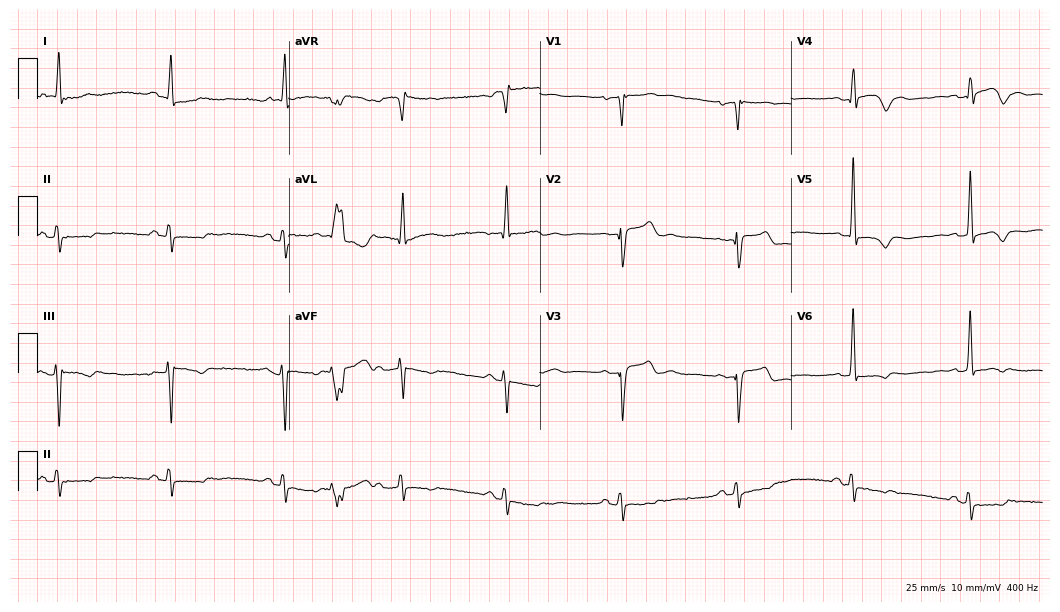
Standard 12-lead ECG recorded from a man, 76 years old (10.2-second recording at 400 Hz). None of these six findings is recorded: first-degree AV block, right bundle branch block, left bundle branch block, sinus bradycardia, atrial fibrillation, sinus tachycardia. Only these six findings were labelled.